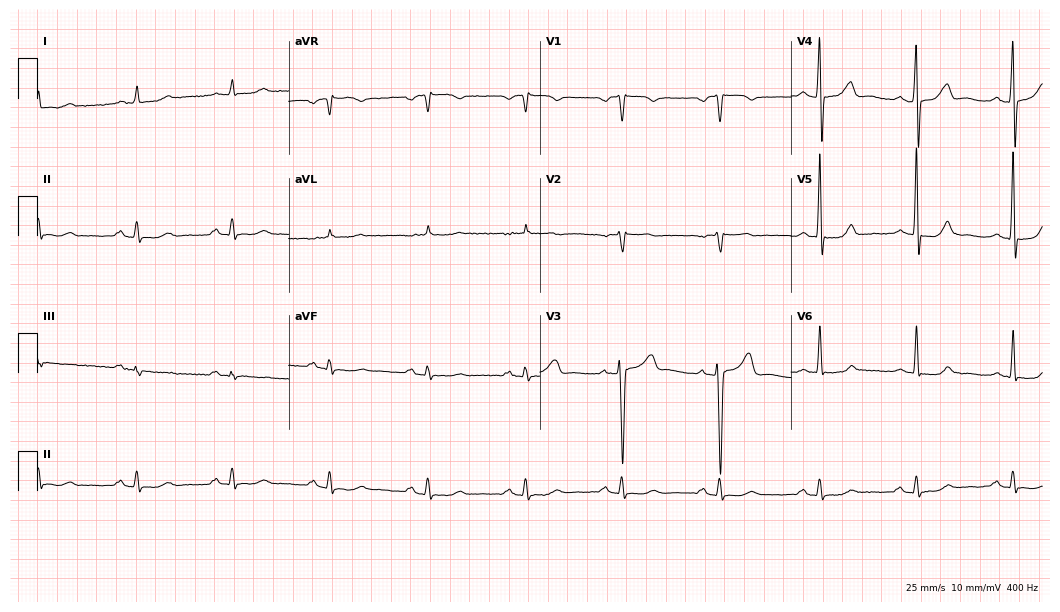
12-lead ECG from a 62-year-old male patient (10.2-second recording at 400 Hz). No first-degree AV block, right bundle branch block (RBBB), left bundle branch block (LBBB), sinus bradycardia, atrial fibrillation (AF) or sinus tachycardia recorded for this tracing.